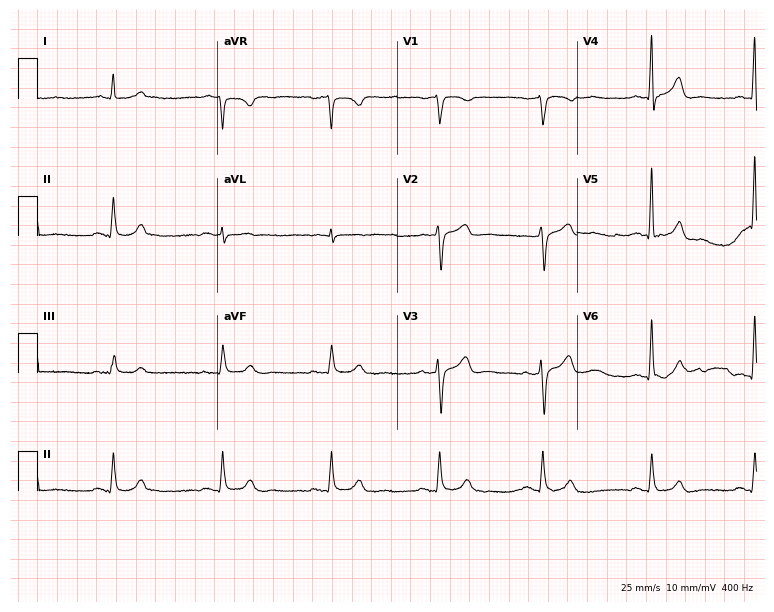
12-lead ECG (7.3-second recording at 400 Hz) from a male, 67 years old. Labelled as a normal ECG.